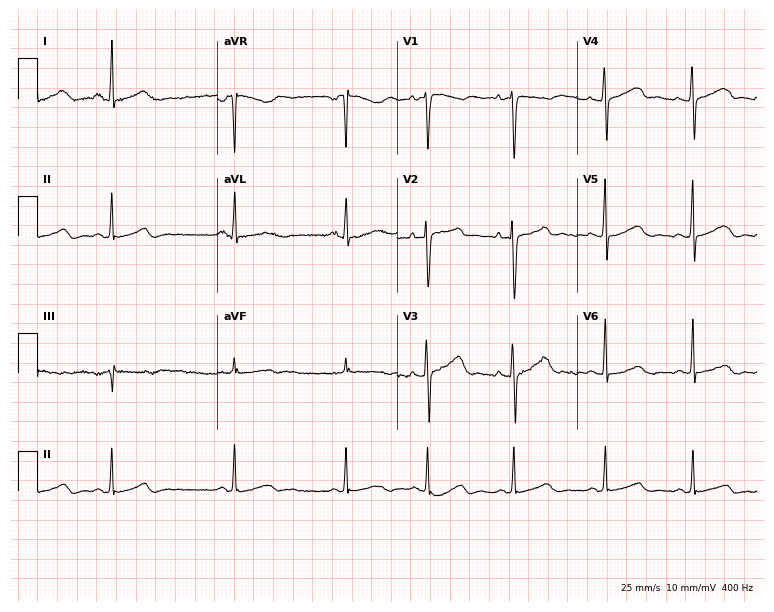
Electrocardiogram (7.3-second recording at 400 Hz), a 28-year-old woman. Overall reading on record: normal ECG.